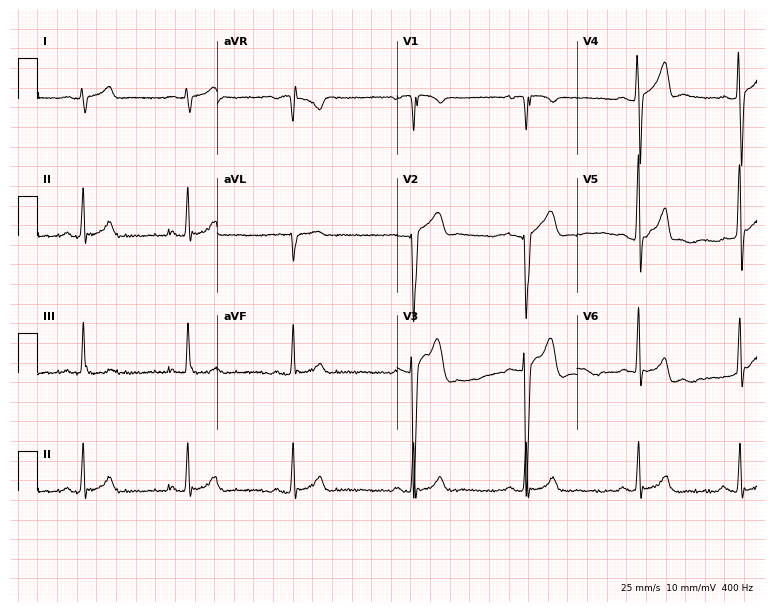
Electrocardiogram (7.3-second recording at 400 Hz), a 17-year-old man. Of the six screened findings (first-degree AV block, right bundle branch block (RBBB), left bundle branch block (LBBB), sinus bradycardia, atrial fibrillation (AF), sinus tachycardia), none is recorded. Findings outside these six are not listed.